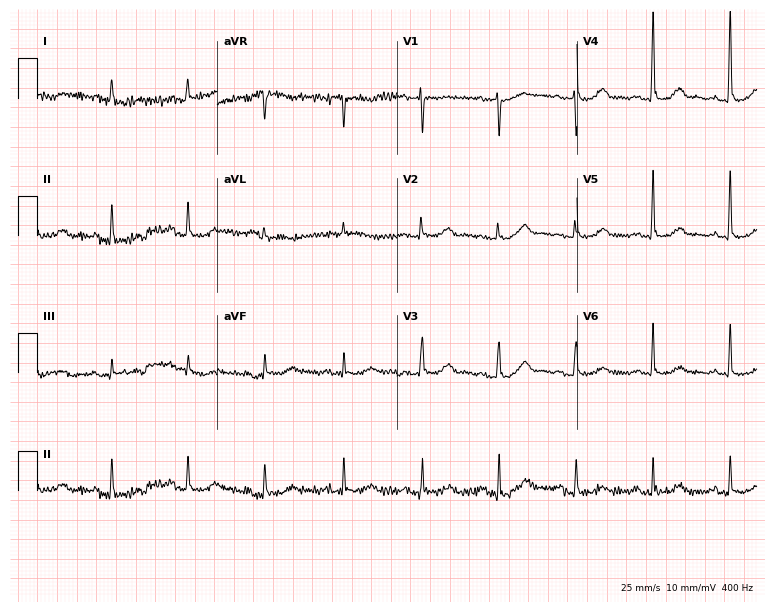
ECG — a woman, 65 years old. Screened for six findings — first-degree AV block, right bundle branch block (RBBB), left bundle branch block (LBBB), sinus bradycardia, atrial fibrillation (AF), sinus tachycardia — none is recorded.